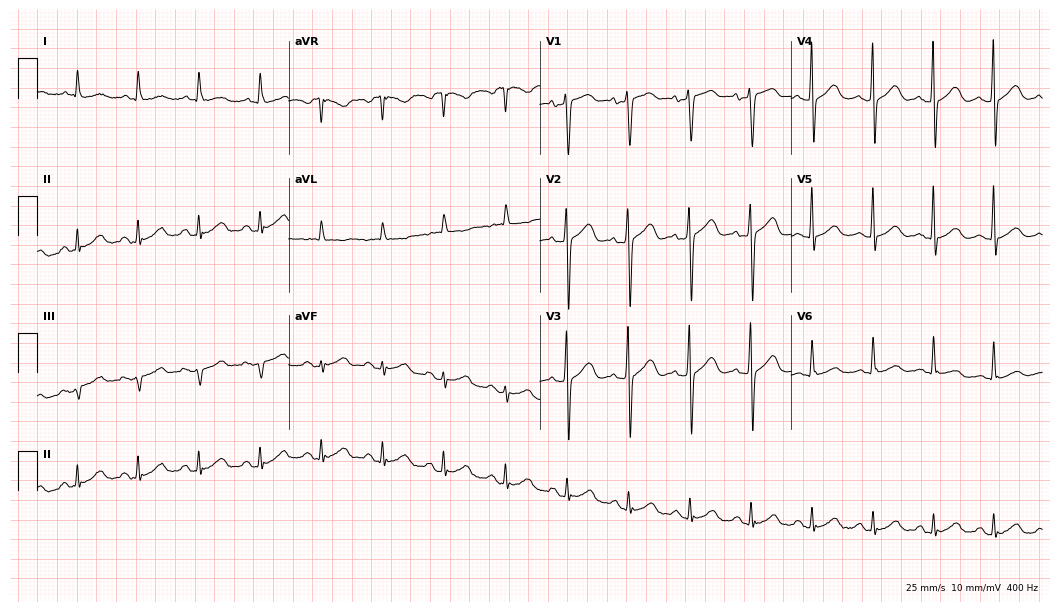
12-lead ECG from a woman, 67 years old. No first-degree AV block, right bundle branch block, left bundle branch block, sinus bradycardia, atrial fibrillation or sinus tachycardia recorded for this tracing. Only these six findings were labelled.